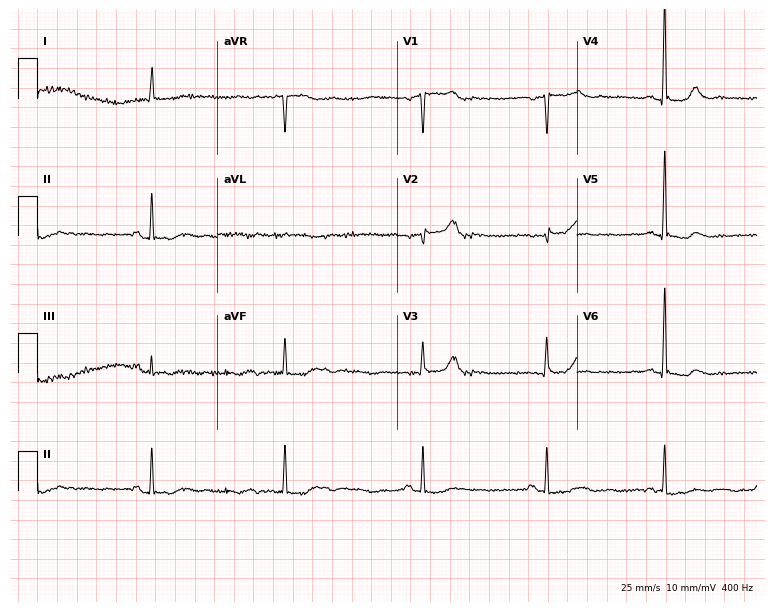
Standard 12-lead ECG recorded from a female, 81 years old (7.3-second recording at 400 Hz). None of these six findings is recorded: first-degree AV block, right bundle branch block, left bundle branch block, sinus bradycardia, atrial fibrillation, sinus tachycardia.